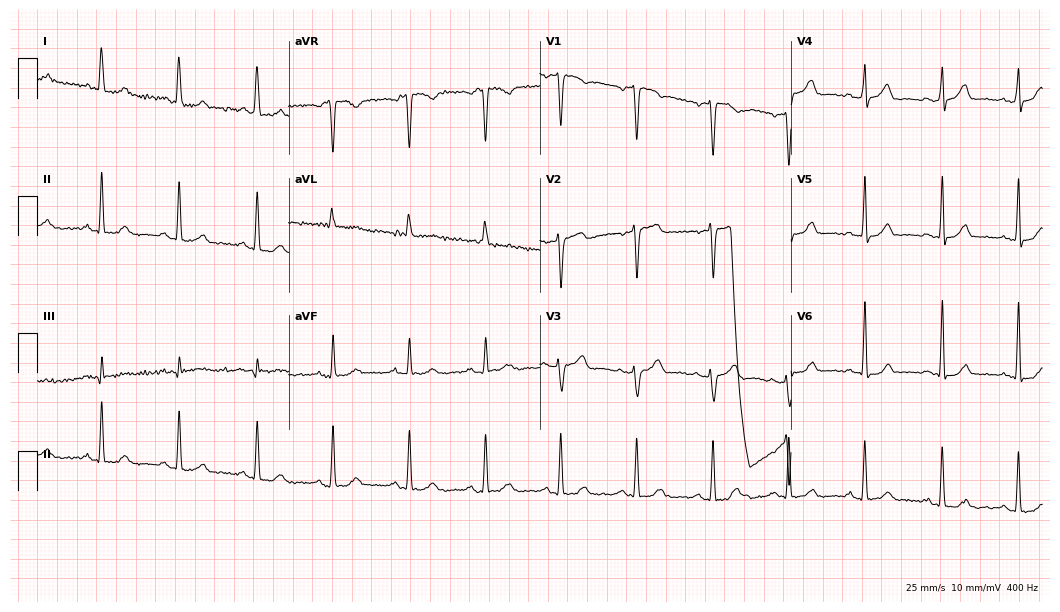
12-lead ECG (10.2-second recording at 400 Hz) from a female, 64 years old. Screened for six findings — first-degree AV block, right bundle branch block, left bundle branch block, sinus bradycardia, atrial fibrillation, sinus tachycardia — none is recorded.